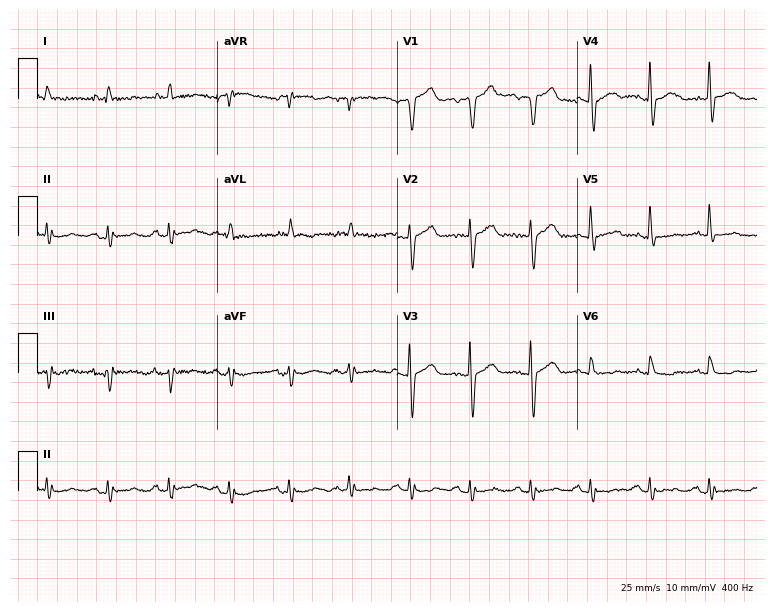
ECG — a 74-year-old male patient. Screened for six findings — first-degree AV block, right bundle branch block (RBBB), left bundle branch block (LBBB), sinus bradycardia, atrial fibrillation (AF), sinus tachycardia — none is recorded.